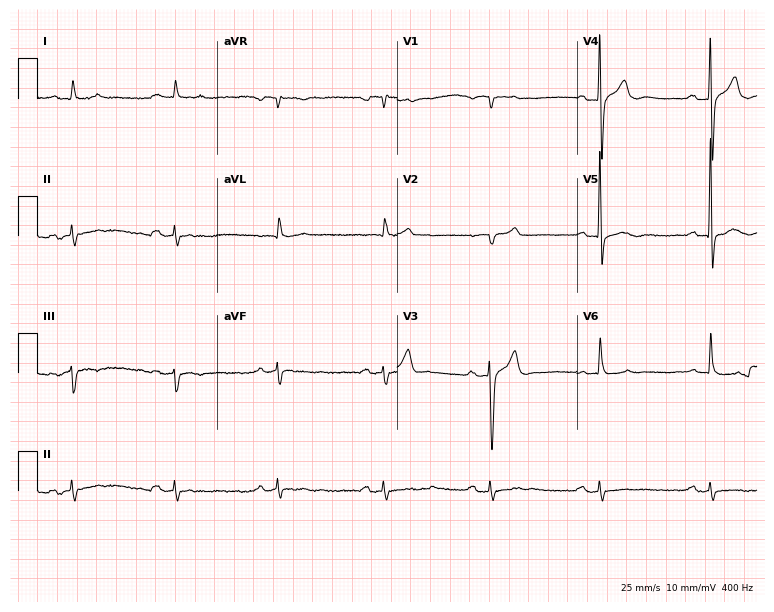
Standard 12-lead ECG recorded from an 87-year-old male patient. The tracing shows first-degree AV block.